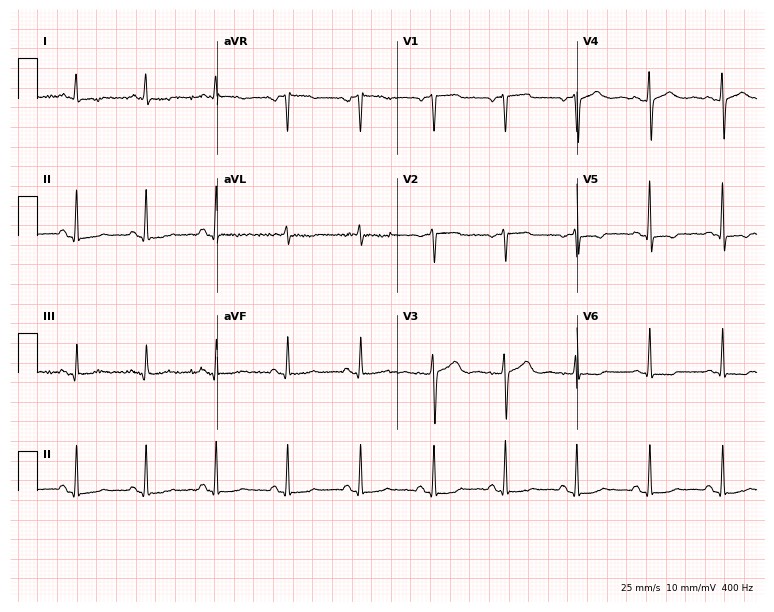
12-lead ECG from a 59-year-old woman. No first-degree AV block, right bundle branch block, left bundle branch block, sinus bradycardia, atrial fibrillation or sinus tachycardia recorded for this tracing. Other findings, if any, are not listed.